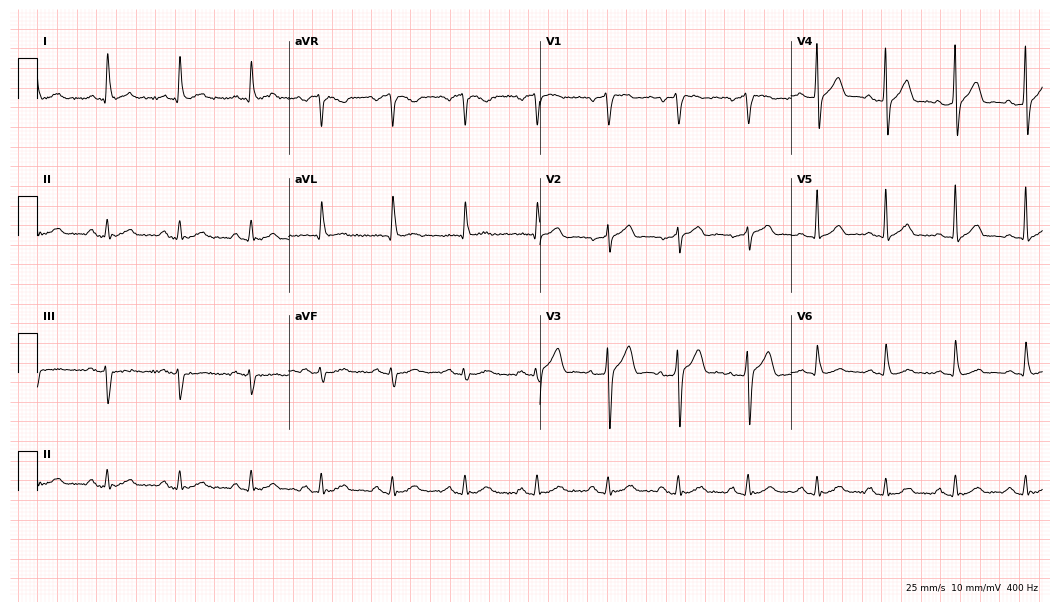
12-lead ECG (10.2-second recording at 400 Hz) from a 54-year-old man. Labelled as a normal ECG.